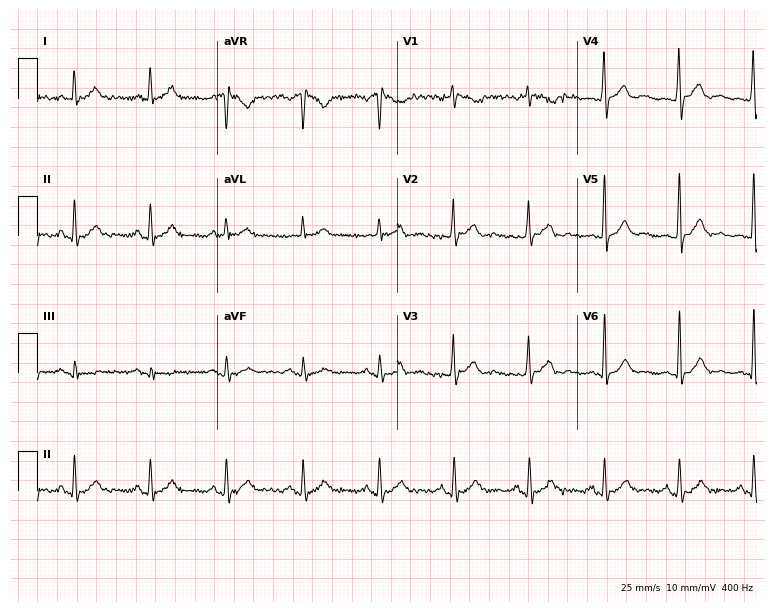
Electrocardiogram (7.3-second recording at 400 Hz), a man, 43 years old. Overall reading on record: normal ECG.